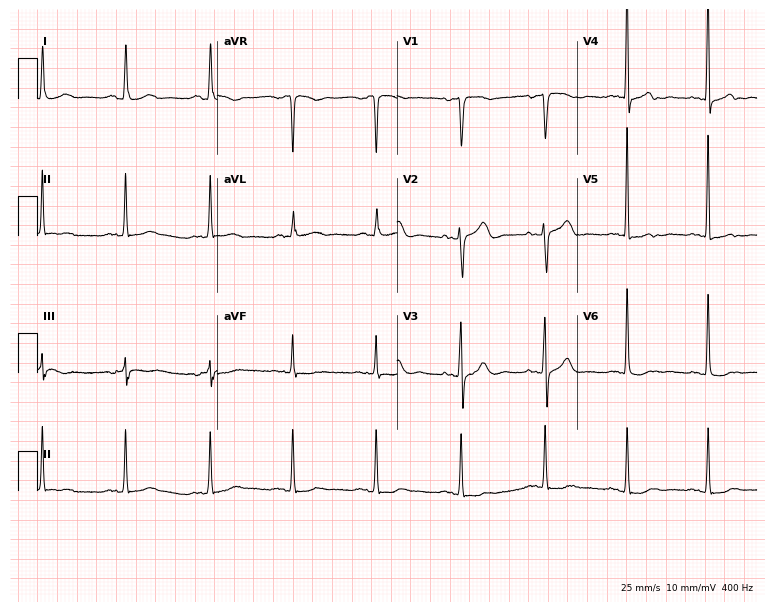
Resting 12-lead electrocardiogram (7.3-second recording at 400 Hz). Patient: a woman, 62 years old. None of these six findings is recorded: first-degree AV block, right bundle branch block, left bundle branch block, sinus bradycardia, atrial fibrillation, sinus tachycardia. Only these six findings were labelled.